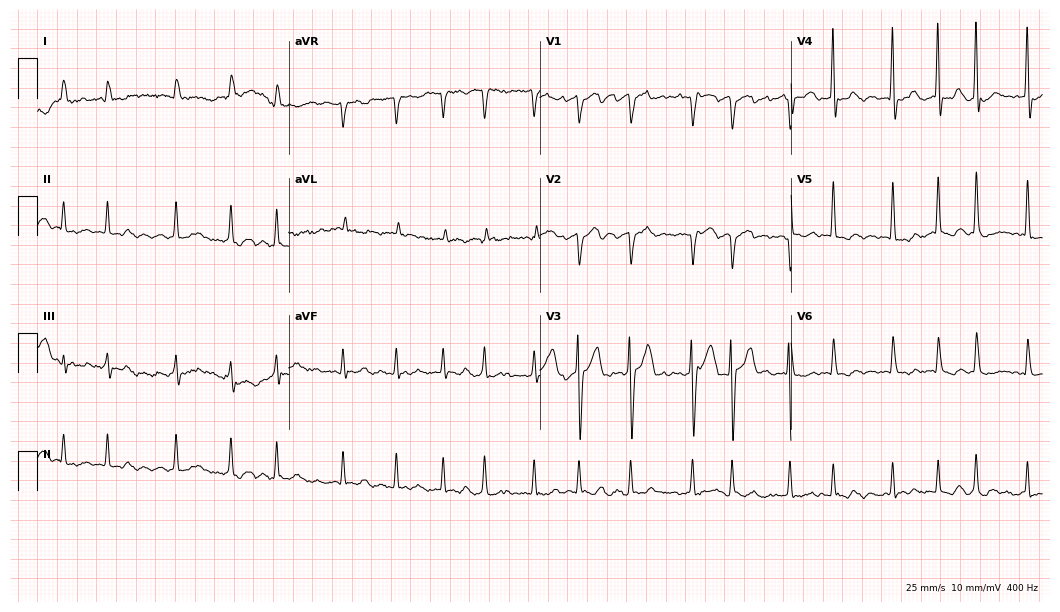
Resting 12-lead electrocardiogram (10.2-second recording at 400 Hz). Patient: an 85-year-old male. The tracing shows atrial fibrillation.